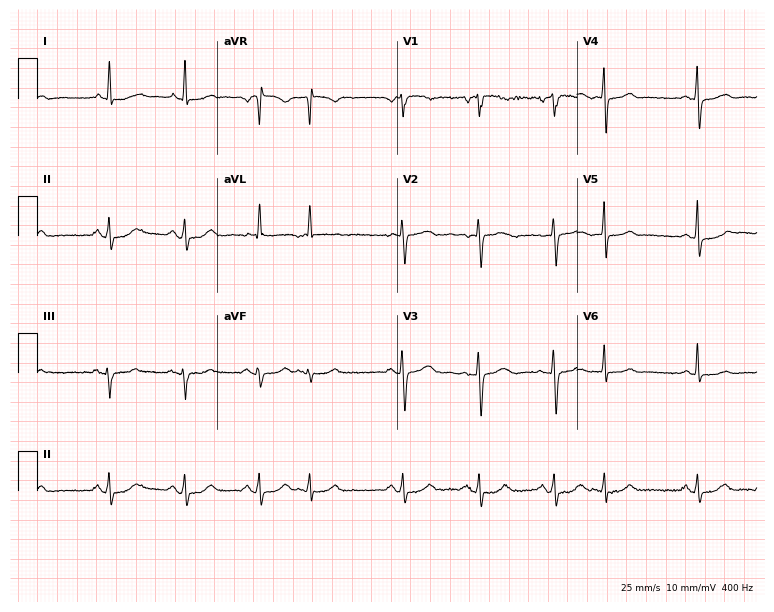
Standard 12-lead ECG recorded from a female, 82 years old. Read as a normal ECG.